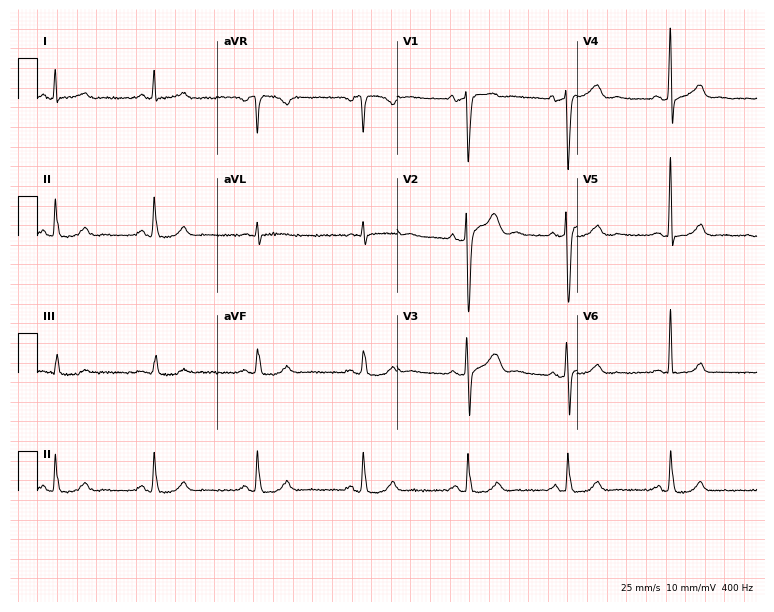
ECG (7.3-second recording at 400 Hz) — a male, 53 years old. Screened for six findings — first-degree AV block, right bundle branch block (RBBB), left bundle branch block (LBBB), sinus bradycardia, atrial fibrillation (AF), sinus tachycardia — none is recorded. Only these six findings were labelled.